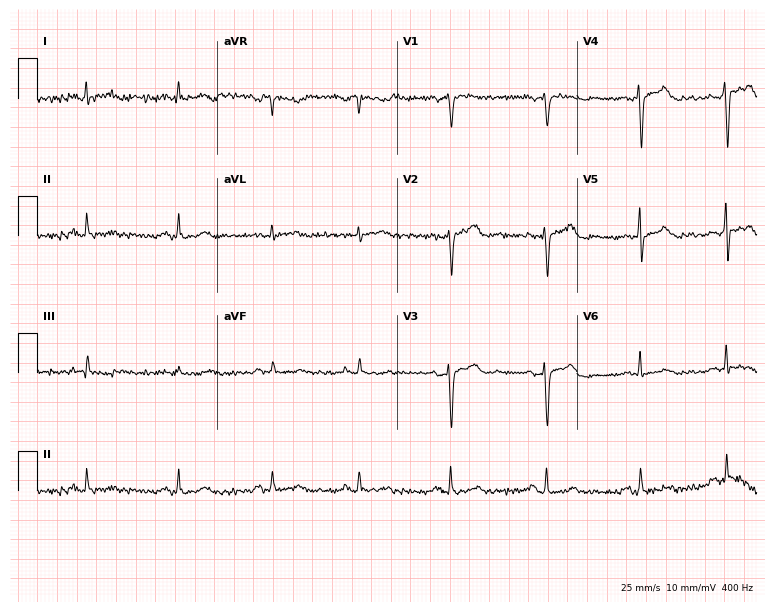
Standard 12-lead ECG recorded from a 52-year-old female patient (7.3-second recording at 400 Hz). Read as a normal ECG.